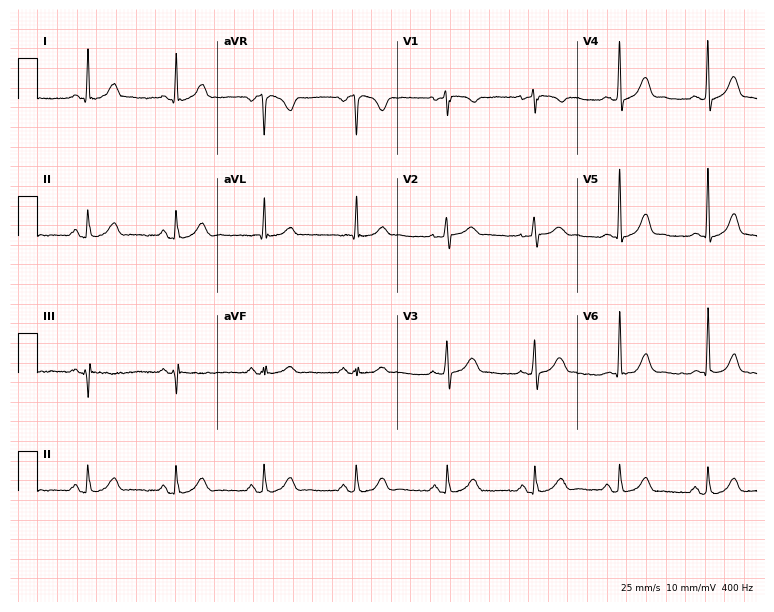
Resting 12-lead electrocardiogram. Patient: a 50-year-old female. Read as a normal ECG.